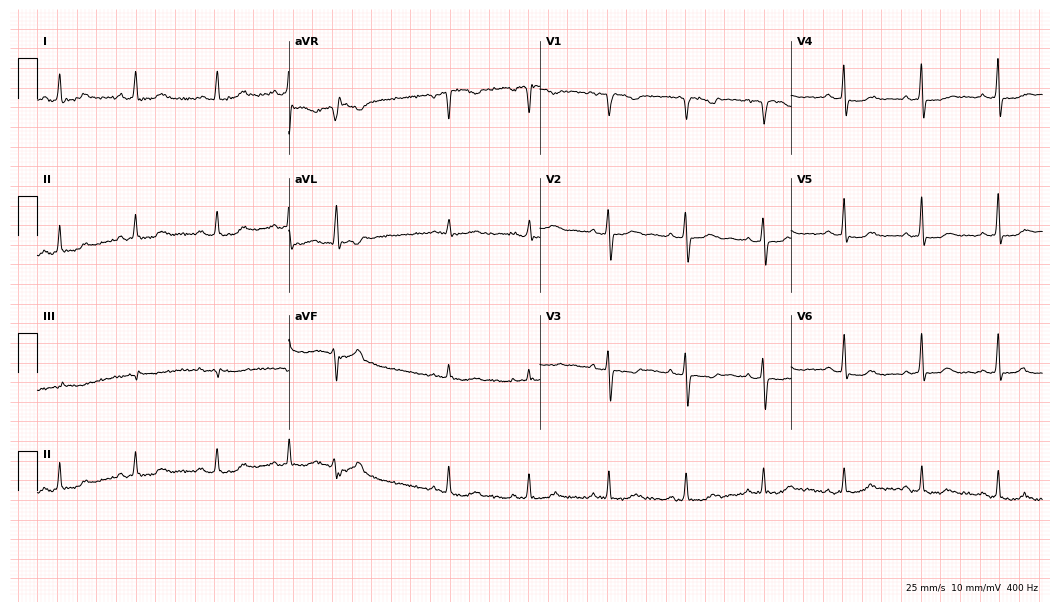
12-lead ECG from a 73-year-old woman (10.2-second recording at 400 Hz). No first-degree AV block, right bundle branch block, left bundle branch block, sinus bradycardia, atrial fibrillation or sinus tachycardia recorded for this tracing. Only these six findings were labelled.